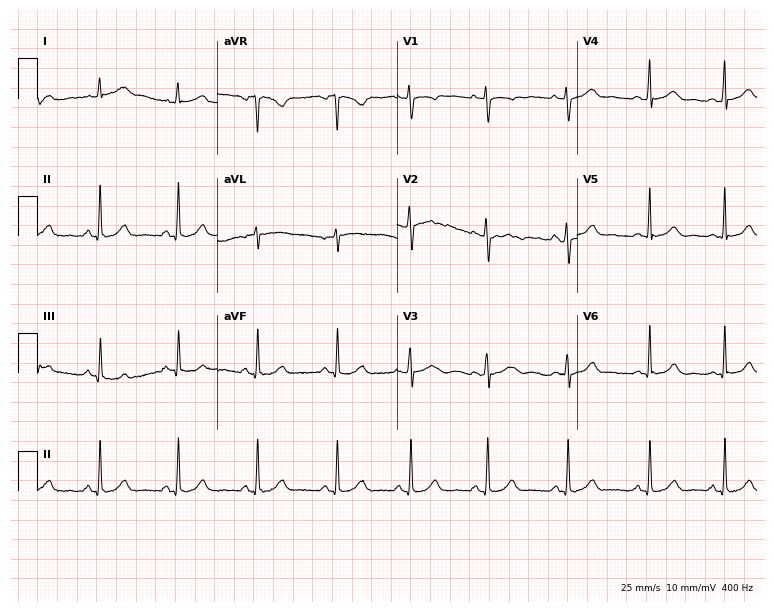
ECG (7.3-second recording at 400 Hz) — a female, 28 years old. Labelled as a normal ECG.